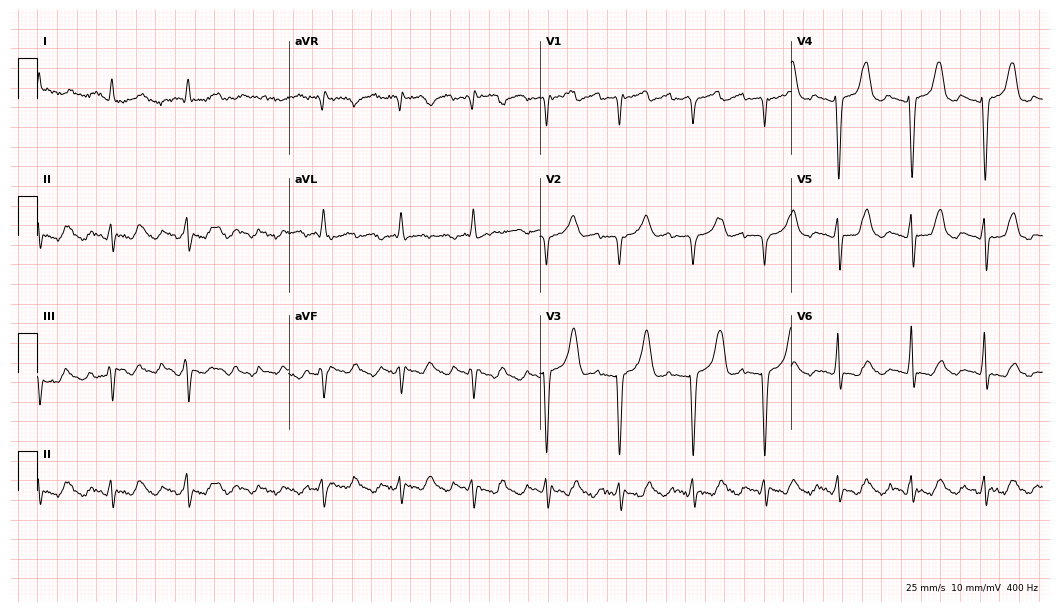
Standard 12-lead ECG recorded from a male, 77 years old (10.2-second recording at 400 Hz). None of these six findings is recorded: first-degree AV block, right bundle branch block (RBBB), left bundle branch block (LBBB), sinus bradycardia, atrial fibrillation (AF), sinus tachycardia. Findings outside these six are not listed.